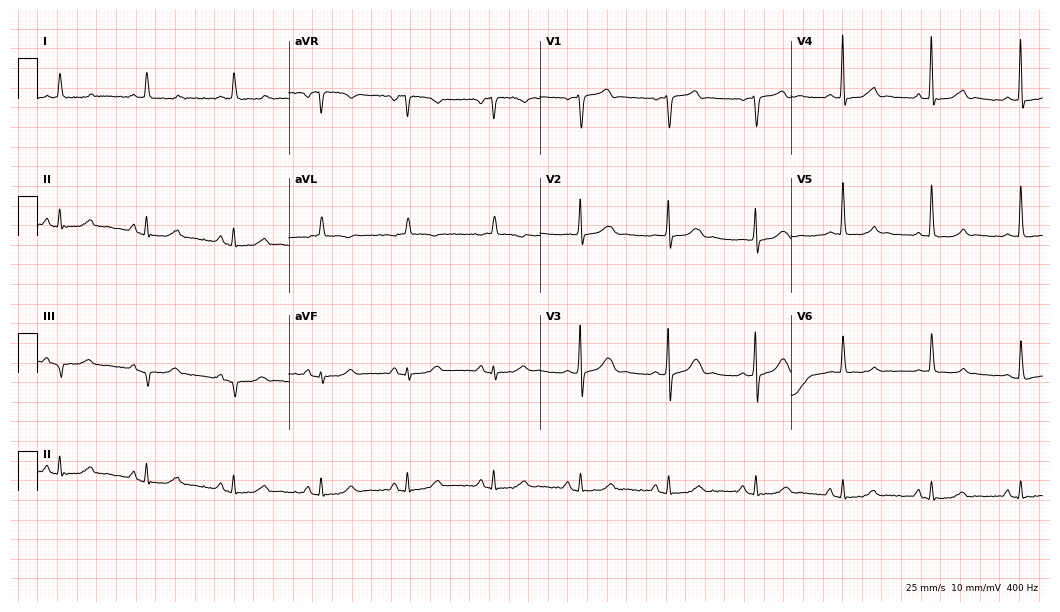
ECG (10.2-second recording at 400 Hz) — a 77-year-old male patient. Screened for six findings — first-degree AV block, right bundle branch block (RBBB), left bundle branch block (LBBB), sinus bradycardia, atrial fibrillation (AF), sinus tachycardia — none is recorded. Findings outside these six are not listed.